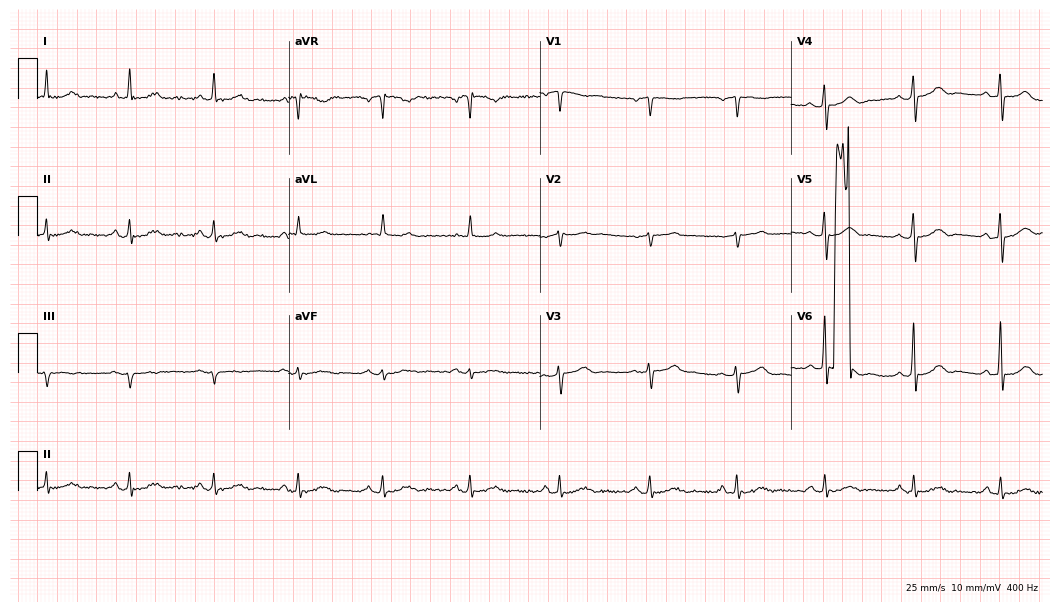
Resting 12-lead electrocardiogram (10.2-second recording at 400 Hz). Patient: a male, 62 years old. Read as a normal ECG.